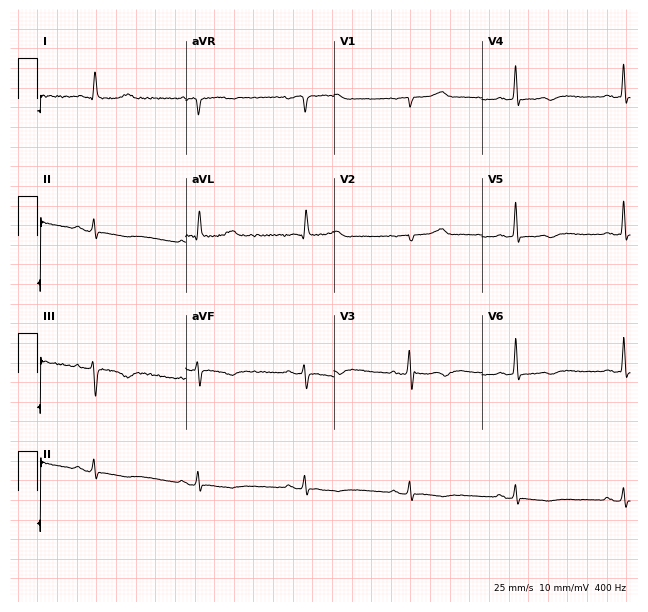
Electrocardiogram (6-second recording at 400 Hz), a 24-year-old female. Of the six screened findings (first-degree AV block, right bundle branch block, left bundle branch block, sinus bradycardia, atrial fibrillation, sinus tachycardia), none is recorded.